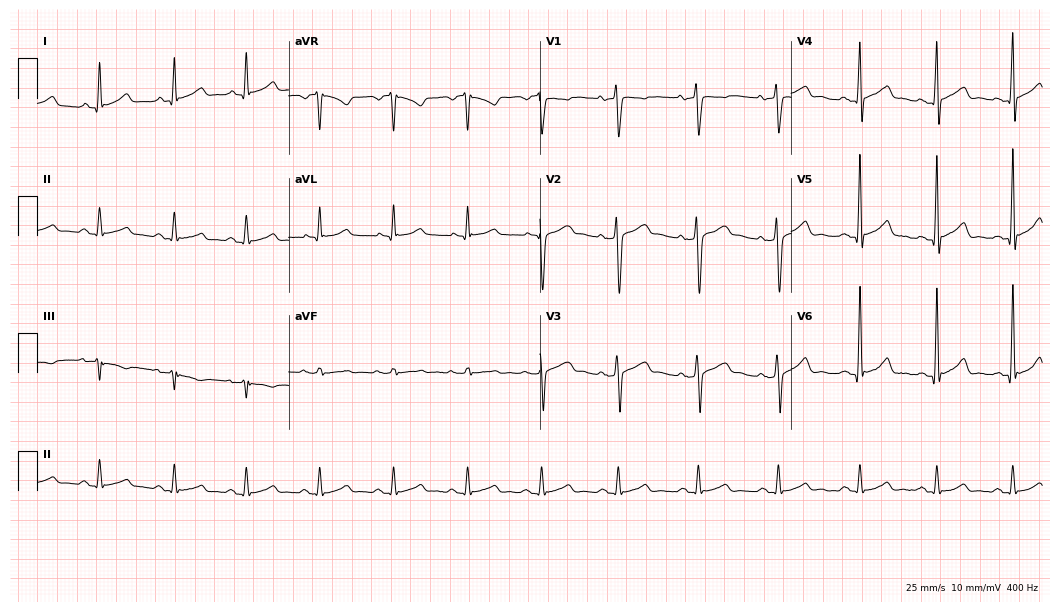
Resting 12-lead electrocardiogram (10.2-second recording at 400 Hz). Patient: a 53-year-old female. Read as a normal ECG.